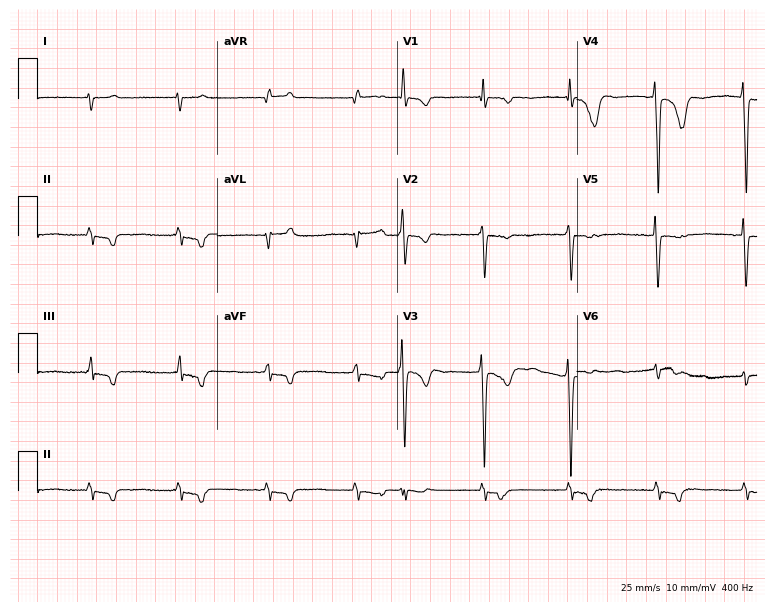
ECG — a male patient, 79 years old. Findings include first-degree AV block, atrial fibrillation.